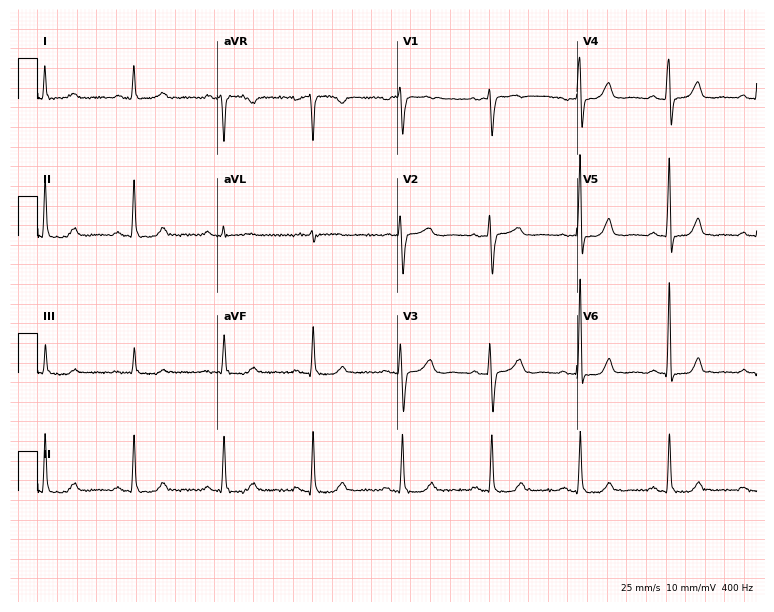
ECG — a 68-year-old female patient. Labelled as a normal ECG.